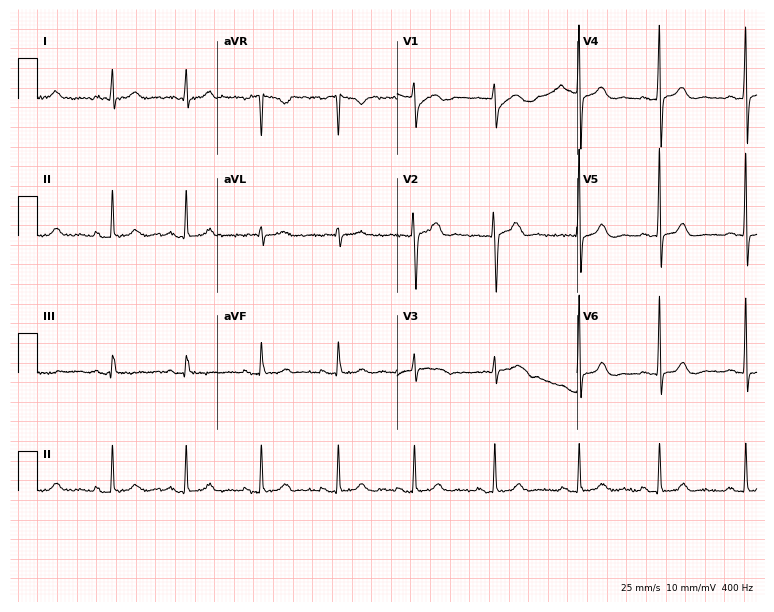
Electrocardiogram (7.3-second recording at 400 Hz), a 33-year-old woman. Overall reading on record: normal ECG.